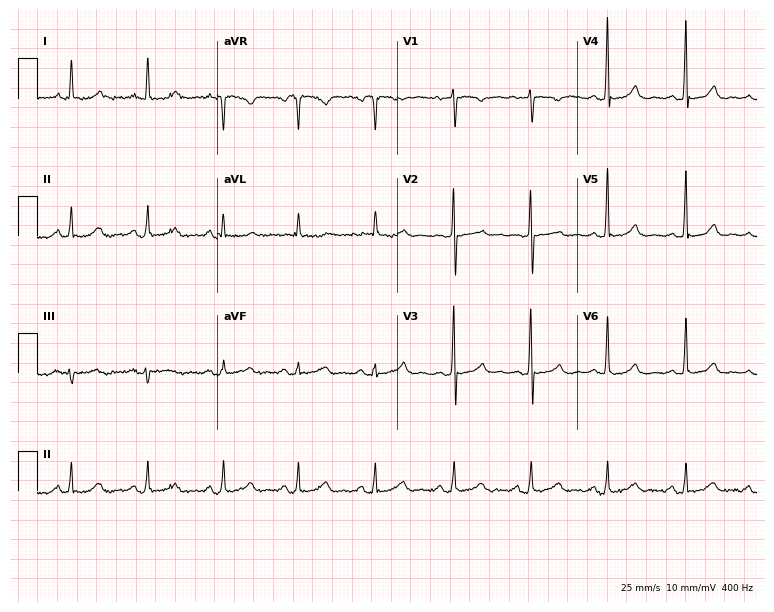
Electrocardiogram, a 60-year-old female patient. Overall reading on record: normal ECG.